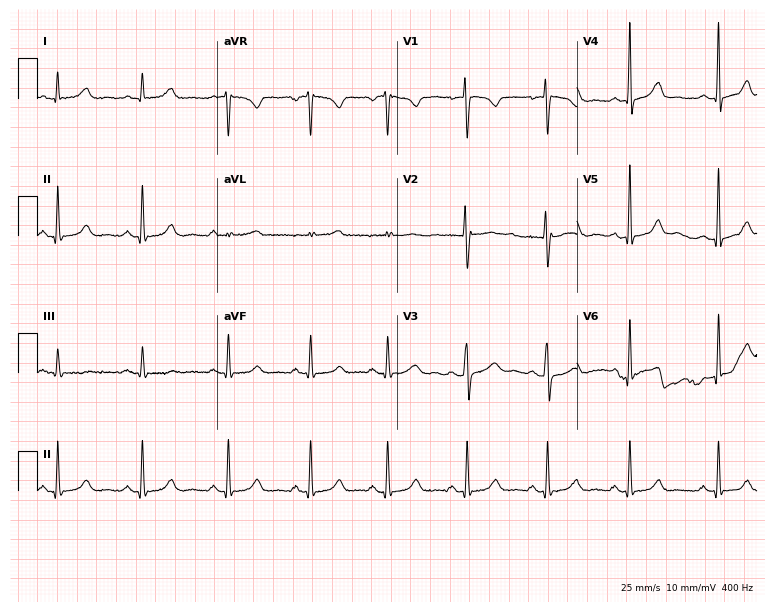
Resting 12-lead electrocardiogram (7.3-second recording at 400 Hz). Patient: a woman, 27 years old. None of these six findings is recorded: first-degree AV block, right bundle branch block (RBBB), left bundle branch block (LBBB), sinus bradycardia, atrial fibrillation (AF), sinus tachycardia. Findings outside these six are not listed.